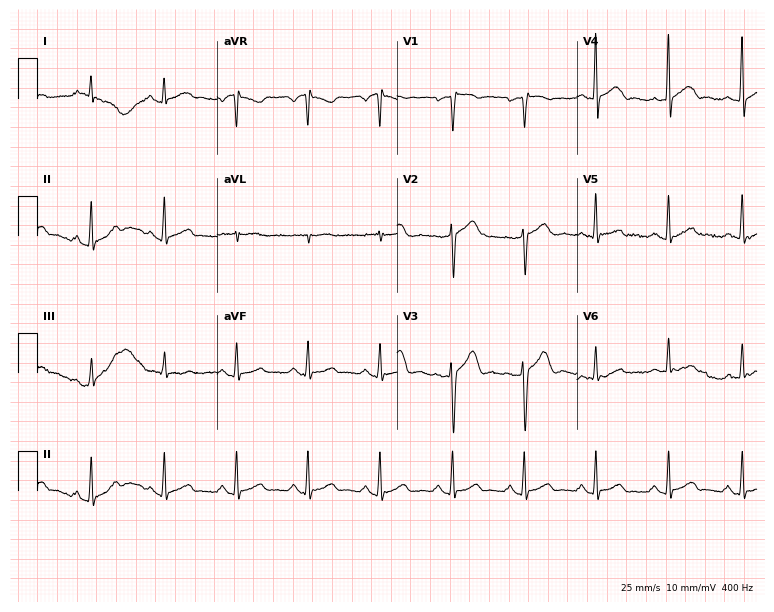
Electrocardiogram, a male, 53 years old. Of the six screened findings (first-degree AV block, right bundle branch block, left bundle branch block, sinus bradycardia, atrial fibrillation, sinus tachycardia), none is recorded. Other findings, if any, are not listed.